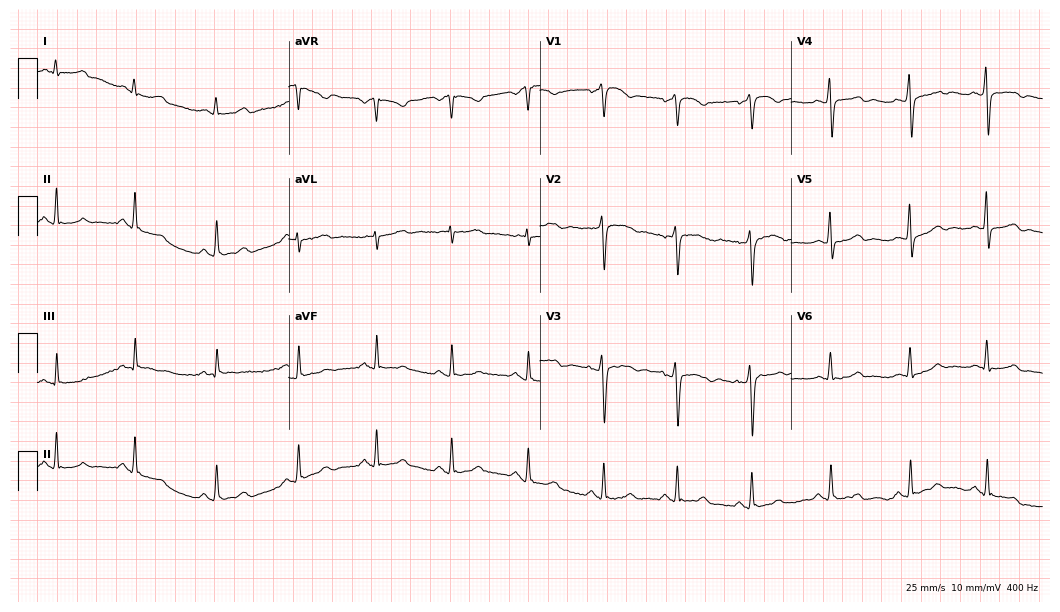
12-lead ECG from a female, 45 years old. Recorded interpretation: within normal limits.